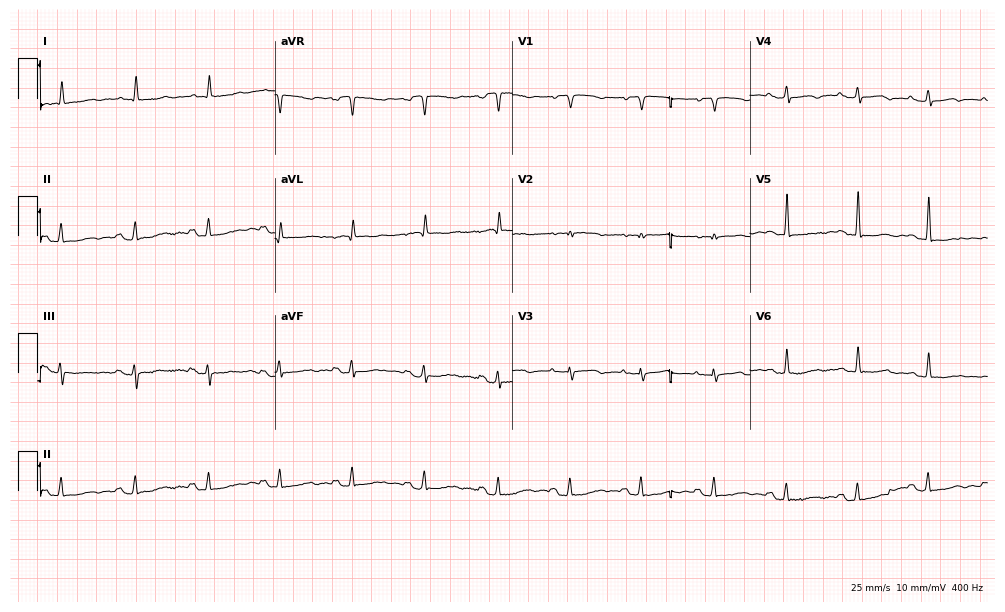
12-lead ECG from an 83-year-old female patient (9.7-second recording at 400 Hz). Recorded interpretation: within normal limits.